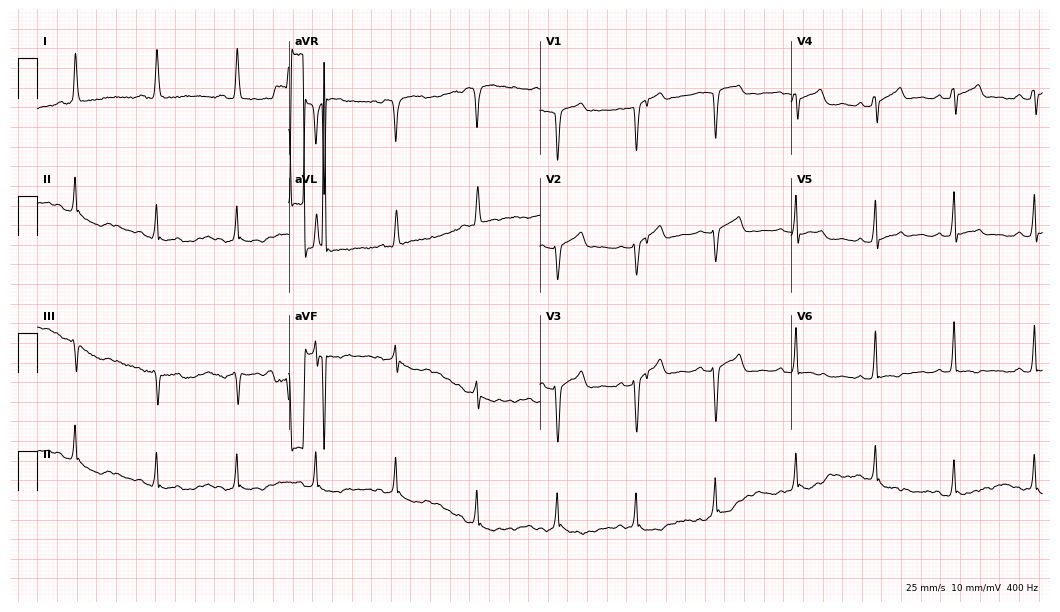
ECG — a 60-year-old female. Screened for six findings — first-degree AV block, right bundle branch block (RBBB), left bundle branch block (LBBB), sinus bradycardia, atrial fibrillation (AF), sinus tachycardia — none is recorded. Other findings, if any, are not listed.